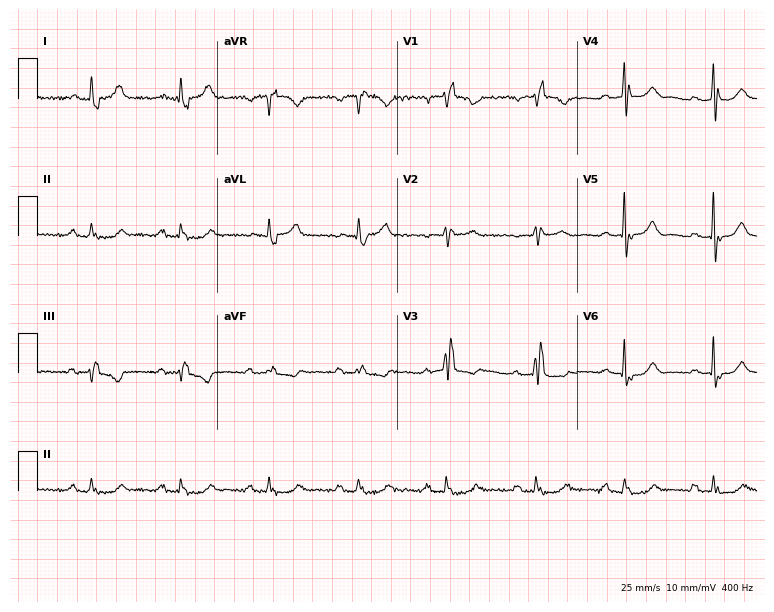
ECG (7.3-second recording at 400 Hz) — a woman, 79 years old. Findings include right bundle branch block (RBBB).